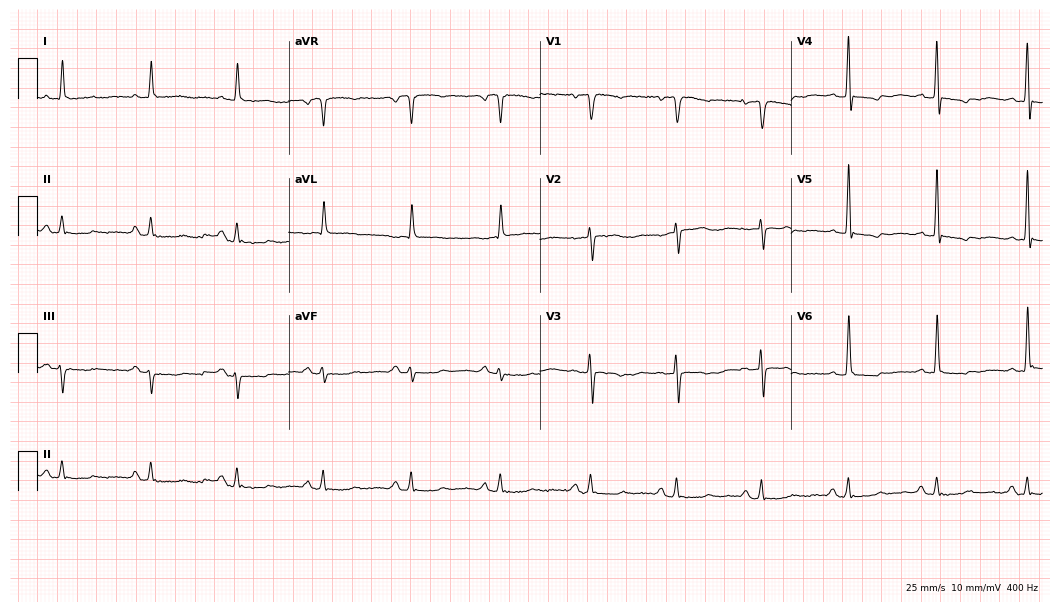
Standard 12-lead ECG recorded from an 84-year-old female patient. None of these six findings is recorded: first-degree AV block, right bundle branch block (RBBB), left bundle branch block (LBBB), sinus bradycardia, atrial fibrillation (AF), sinus tachycardia. Other findings, if any, are not listed.